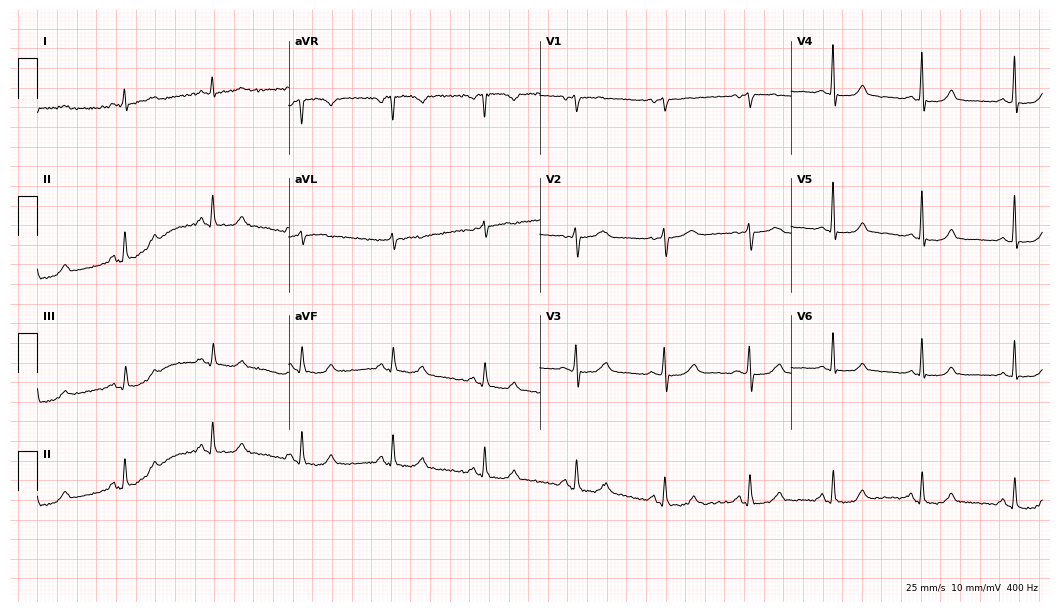
12-lead ECG from a 57-year-old woman (10.2-second recording at 400 Hz). No first-degree AV block, right bundle branch block (RBBB), left bundle branch block (LBBB), sinus bradycardia, atrial fibrillation (AF) or sinus tachycardia recorded for this tracing. Findings outside these six are not listed.